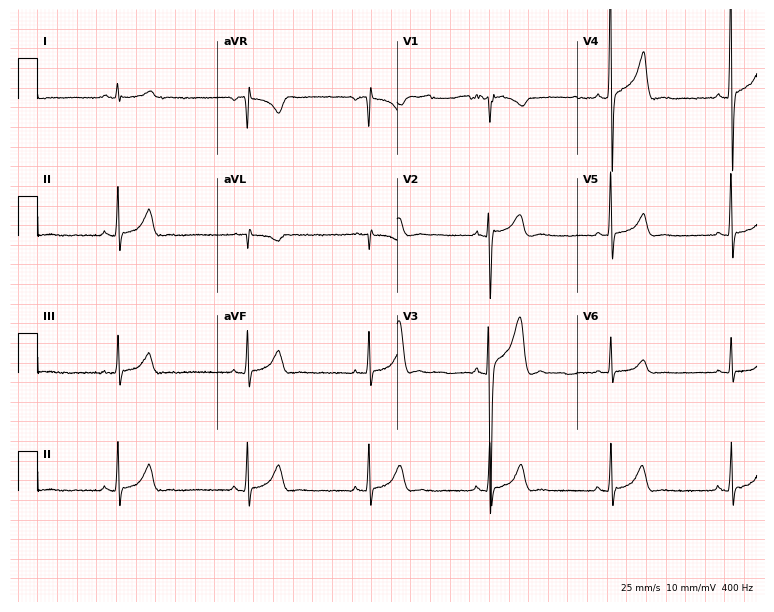
Electrocardiogram (7.3-second recording at 400 Hz), a man, 17 years old. Interpretation includes sinus bradycardia (a sinus rate of 50 beats per minute or less).